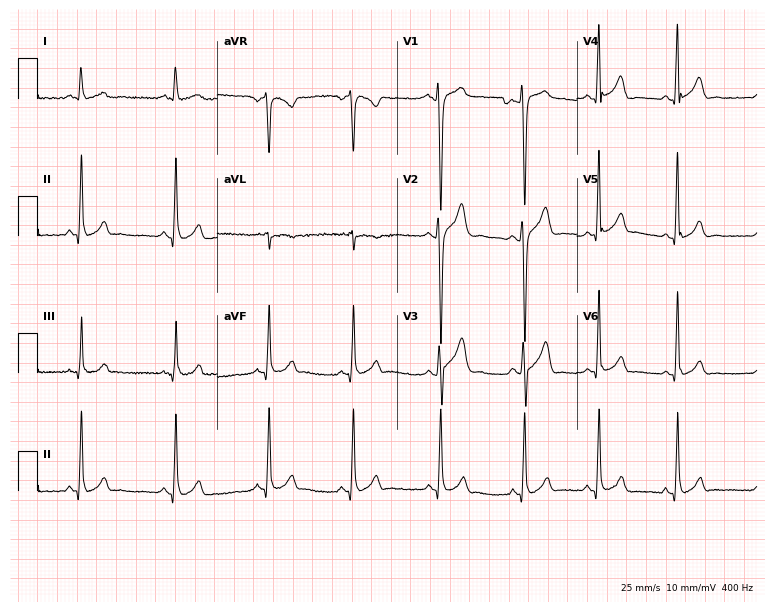
12-lead ECG (7.3-second recording at 400 Hz) from a man, 25 years old. Screened for six findings — first-degree AV block, right bundle branch block, left bundle branch block, sinus bradycardia, atrial fibrillation, sinus tachycardia — none is recorded.